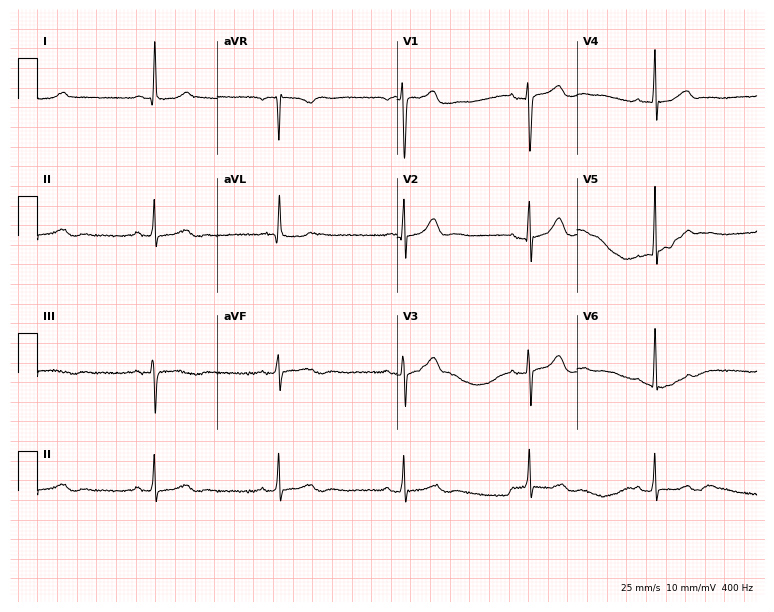
ECG (7.3-second recording at 400 Hz) — a woman, 61 years old. Screened for six findings — first-degree AV block, right bundle branch block, left bundle branch block, sinus bradycardia, atrial fibrillation, sinus tachycardia — none is recorded.